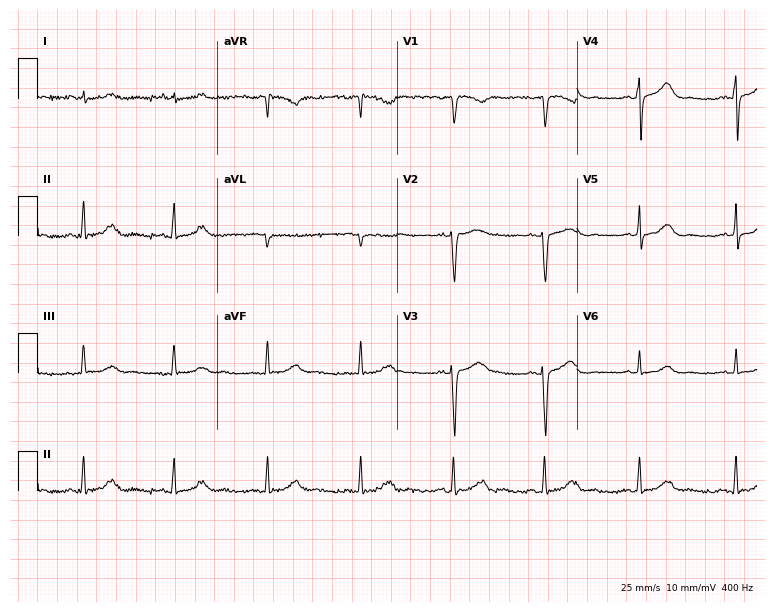
ECG (7.3-second recording at 400 Hz) — a 57-year-old female. Screened for six findings — first-degree AV block, right bundle branch block (RBBB), left bundle branch block (LBBB), sinus bradycardia, atrial fibrillation (AF), sinus tachycardia — none is recorded. Other findings, if any, are not listed.